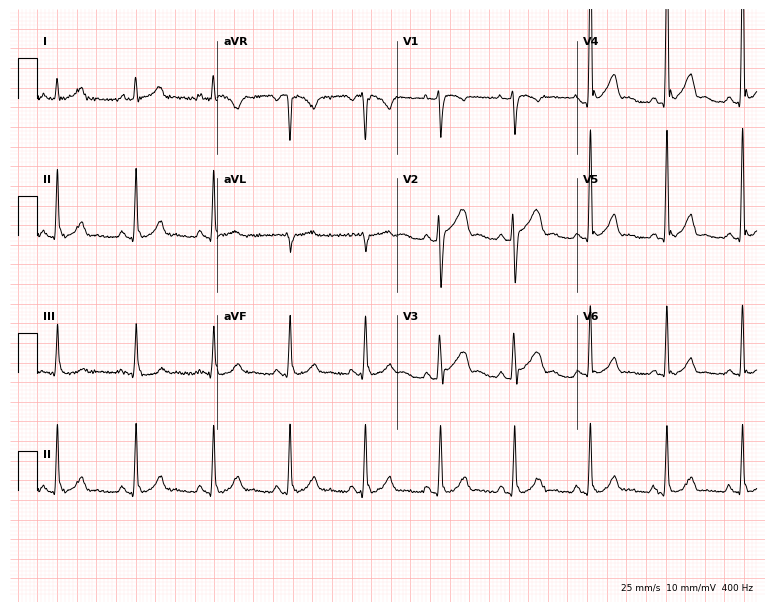
ECG (7.3-second recording at 400 Hz) — a male, 42 years old. Screened for six findings — first-degree AV block, right bundle branch block (RBBB), left bundle branch block (LBBB), sinus bradycardia, atrial fibrillation (AF), sinus tachycardia — none is recorded. Findings outside these six are not listed.